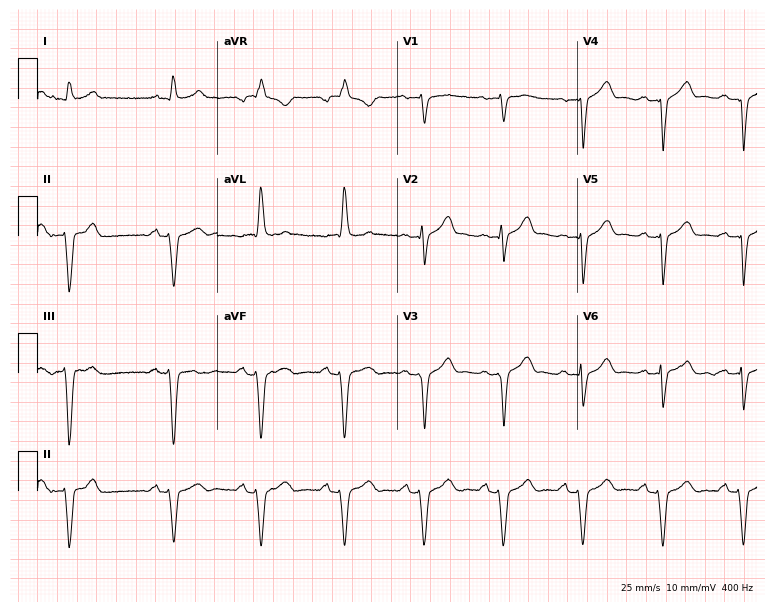
Standard 12-lead ECG recorded from a 56-year-old male patient (7.3-second recording at 400 Hz). None of these six findings is recorded: first-degree AV block, right bundle branch block (RBBB), left bundle branch block (LBBB), sinus bradycardia, atrial fibrillation (AF), sinus tachycardia.